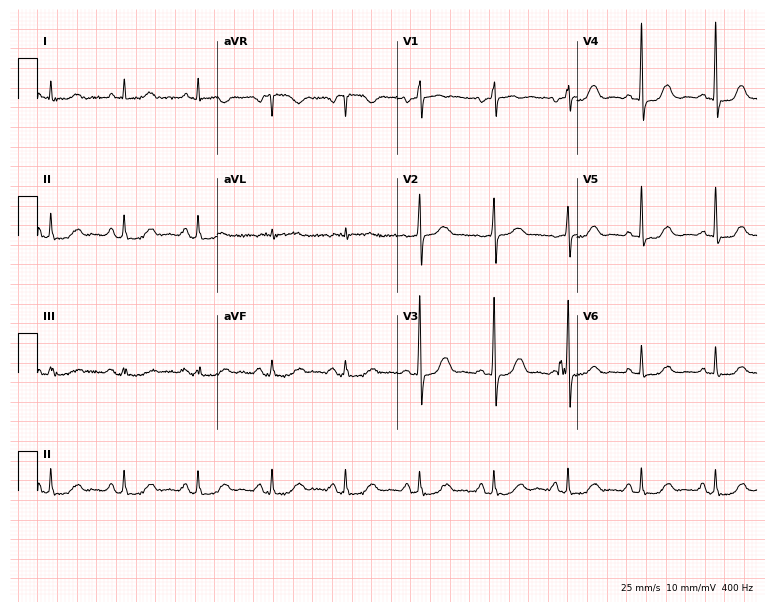
Standard 12-lead ECG recorded from a female patient, 75 years old. Read as a normal ECG.